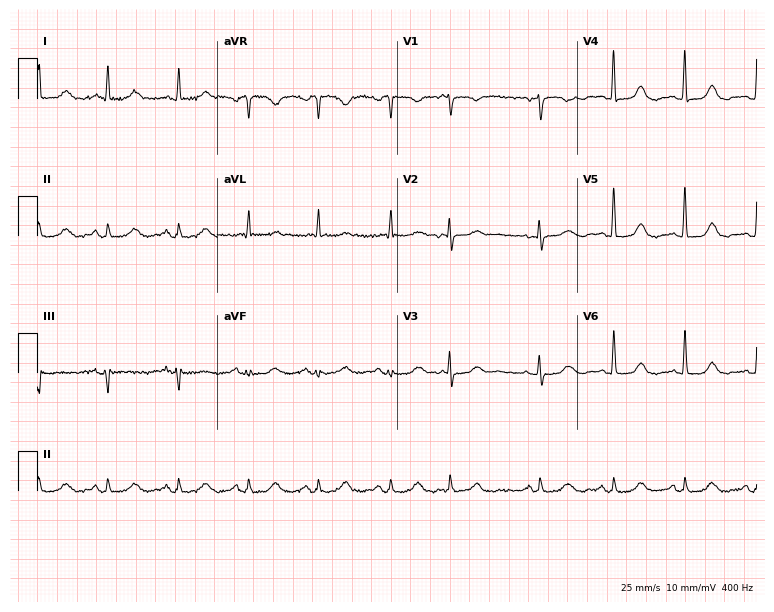
Resting 12-lead electrocardiogram. Patient: a female, 70 years old. Read as a normal ECG.